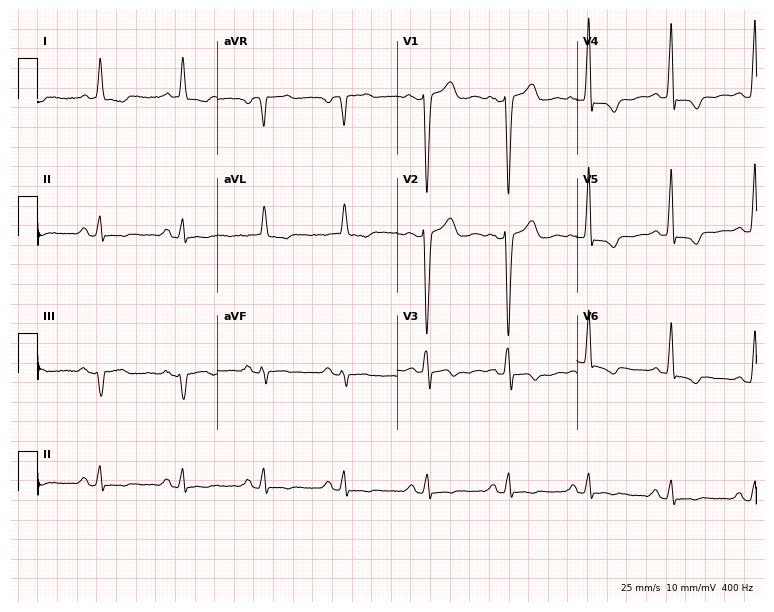
Resting 12-lead electrocardiogram (7.3-second recording at 400 Hz). Patient: a female, 83 years old. None of these six findings is recorded: first-degree AV block, right bundle branch block, left bundle branch block, sinus bradycardia, atrial fibrillation, sinus tachycardia. Only these six findings were labelled.